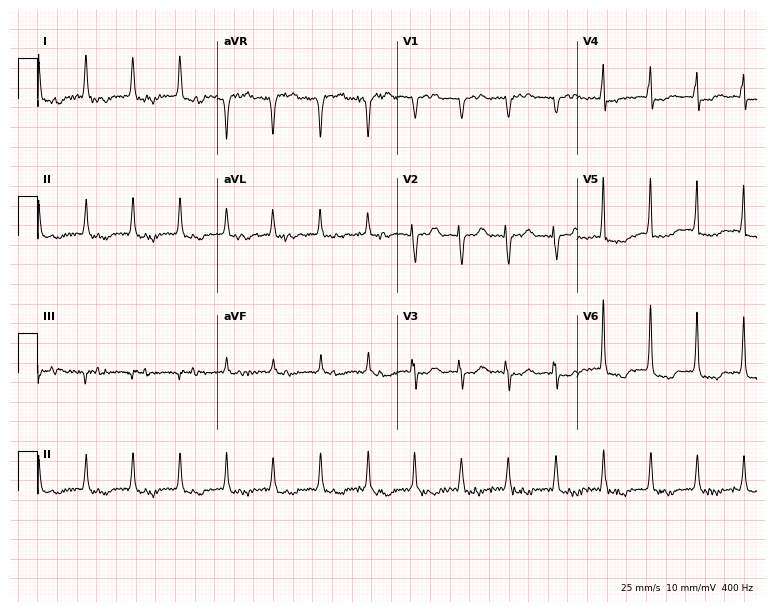
Resting 12-lead electrocardiogram (7.3-second recording at 400 Hz). Patient: a woman, 79 years old. None of these six findings is recorded: first-degree AV block, right bundle branch block, left bundle branch block, sinus bradycardia, atrial fibrillation, sinus tachycardia. Findings outside these six are not listed.